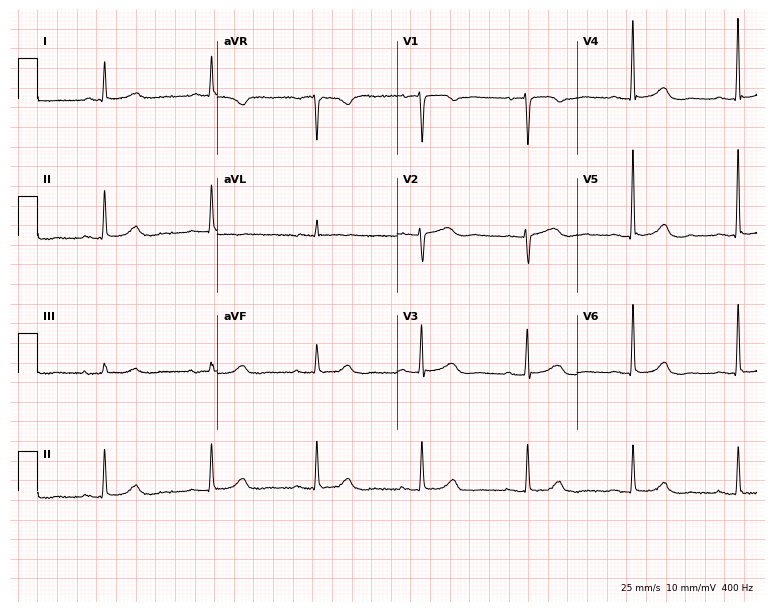
Resting 12-lead electrocardiogram. Patient: a female, 74 years old. Read as a normal ECG.